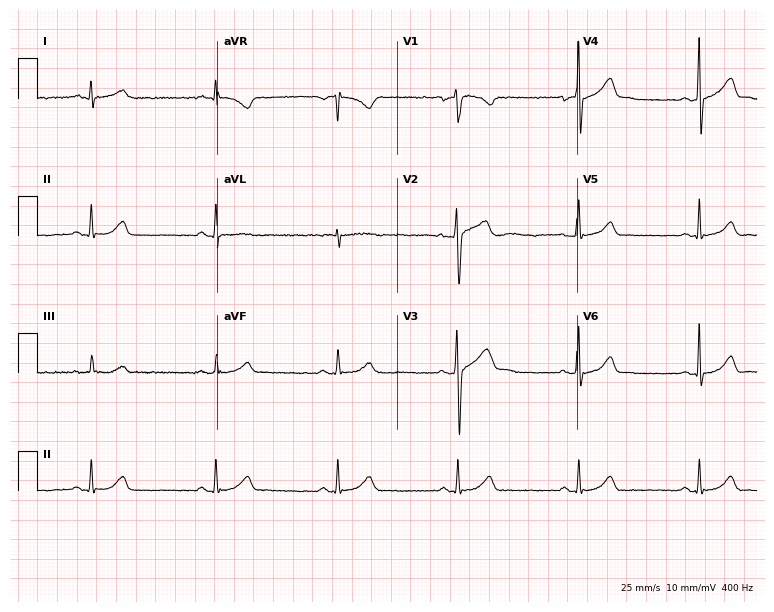
12-lead ECG from a 30-year-old male. Shows sinus bradycardia (a sinus rate of 50 beats per minute or less).